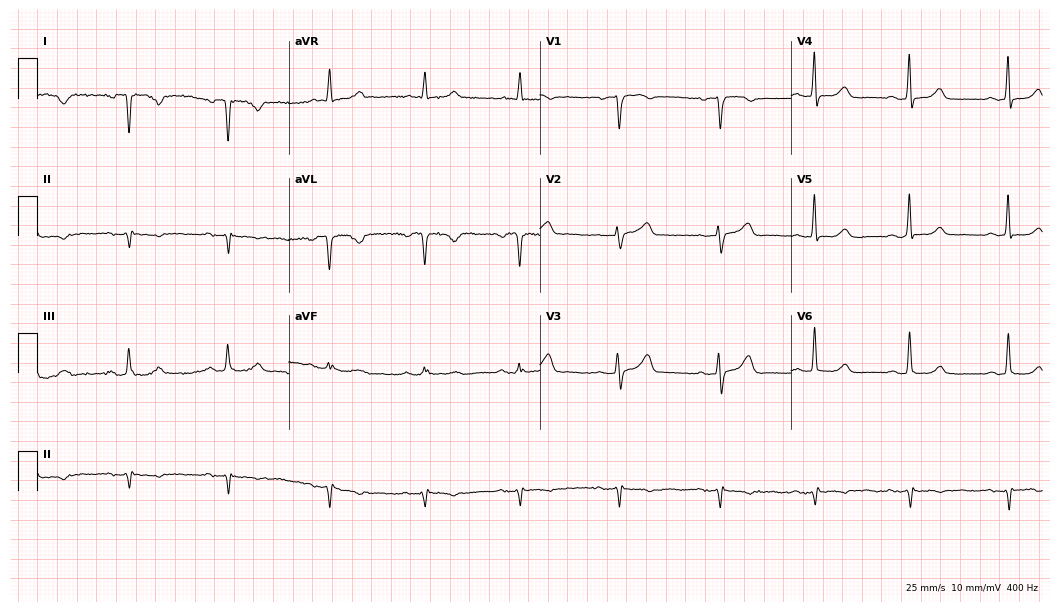
12-lead ECG from a female patient, 64 years old. No first-degree AV block, right bundle branch block (RBBB), left bundle branch block (LBBB), sinus bradycardia, atrial fibrillation (AF) or sinus tachycardia recorded for this tracing.